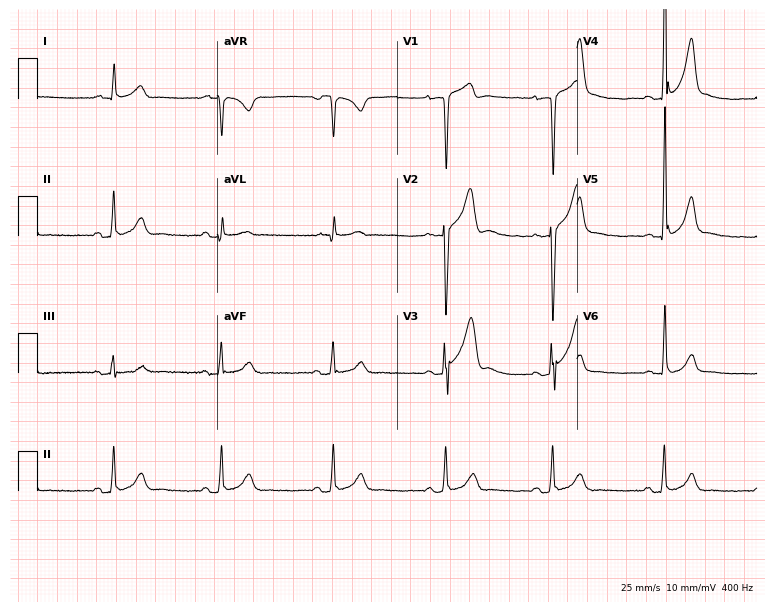
12-lead ECG from a man, 23 years old. Labelled as a normal ECG.